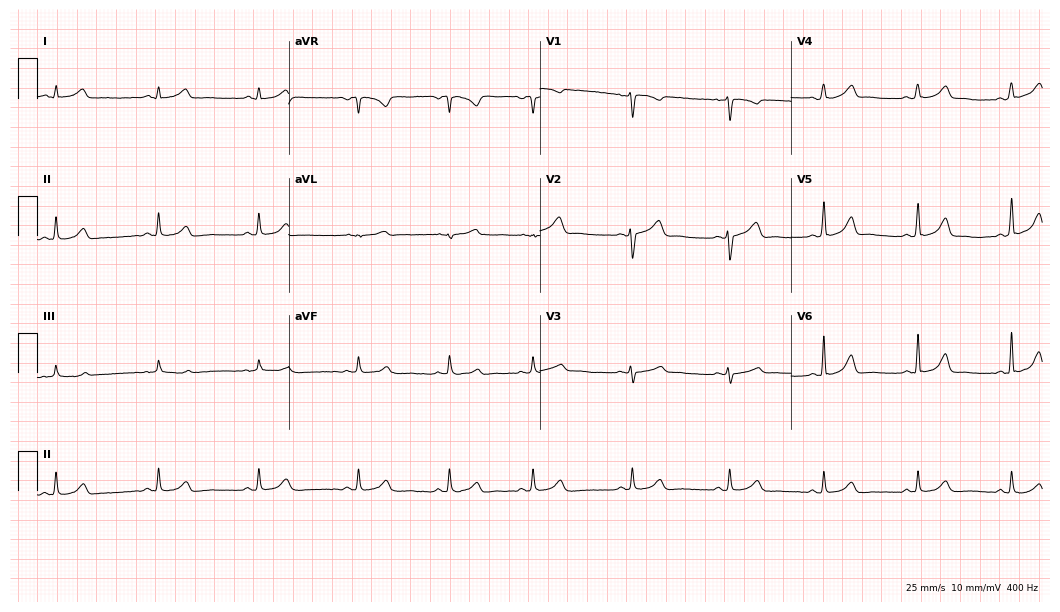
Standard 12-lead ECG recorded from a female patient, 22 years old. Read as a normal ECG.